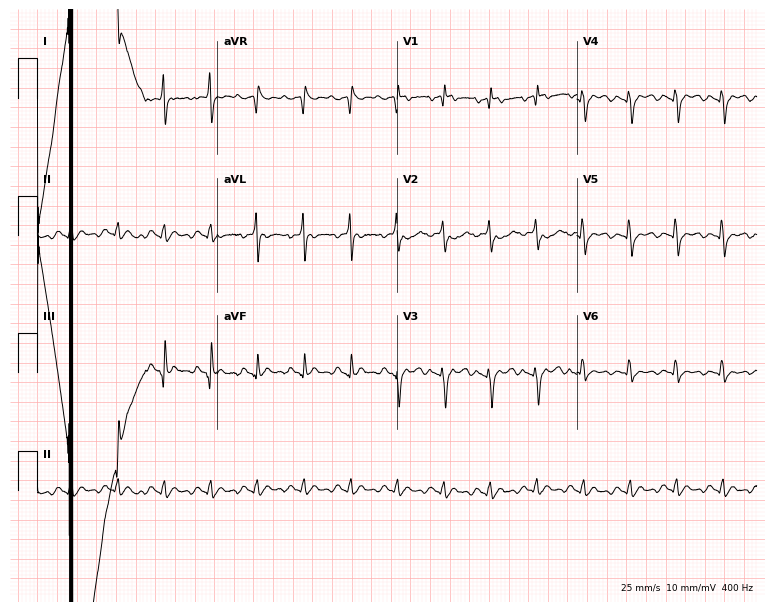
Resting 12-lead electrocardiogram. Patient: a 79-year-old man. The tracing shows sinus tachycardia (a sinus rate of 100 beats per minute or more).